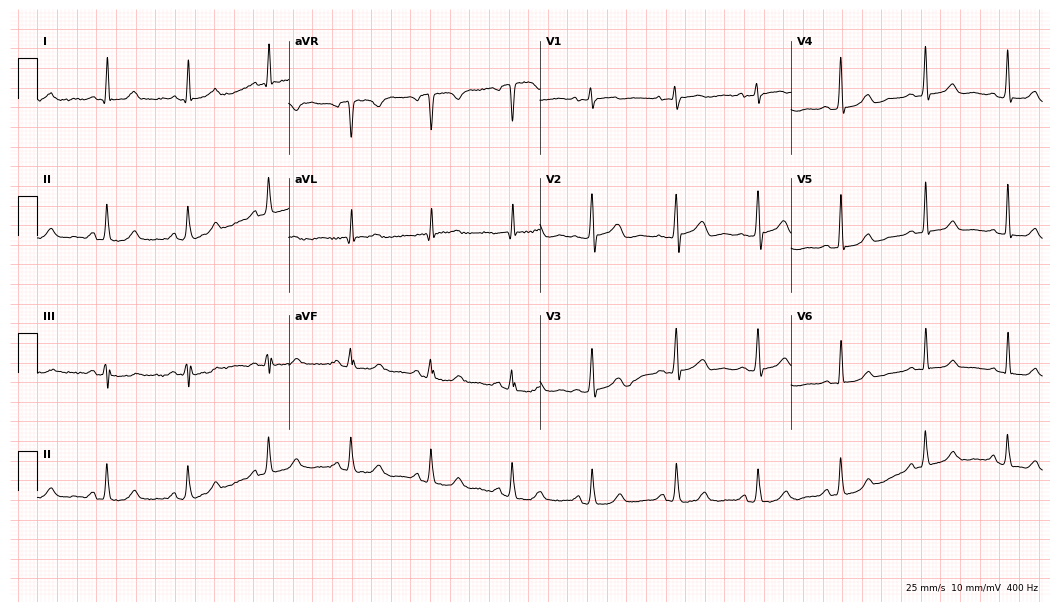
Resting 12-lead electrocardiogram. Patient: a female, 70 years old. None of these six findings is recorded: first-degree AV block, right bundle branch block, left bundle branch block, sinus bradycardia, atrial fibrillation, sinus tachycardia. Other findings, if any, are not listed.